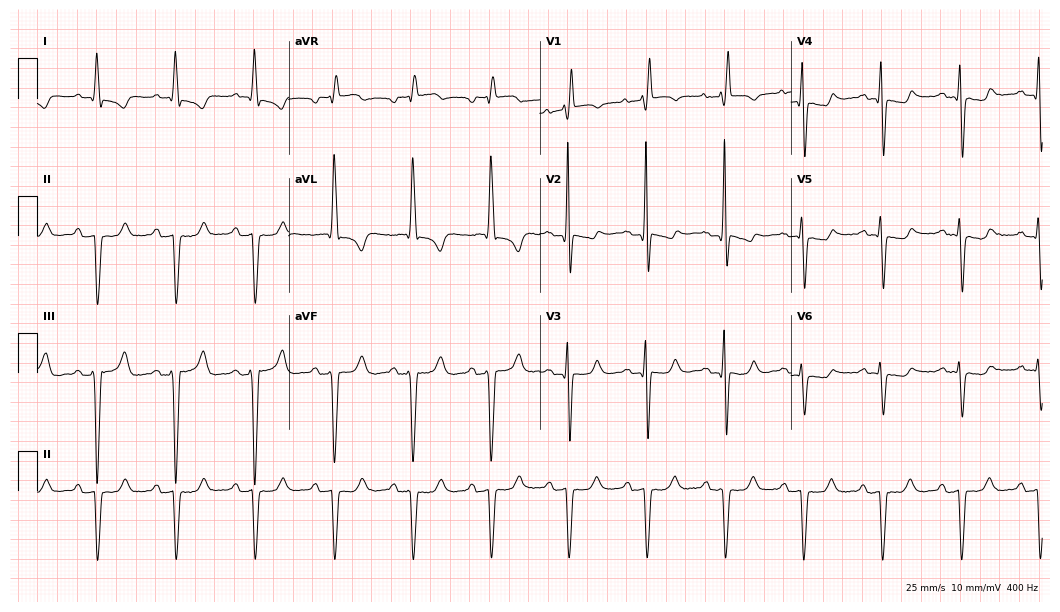
ECG — a 67-year-old male. Findings include right bundle branch block.